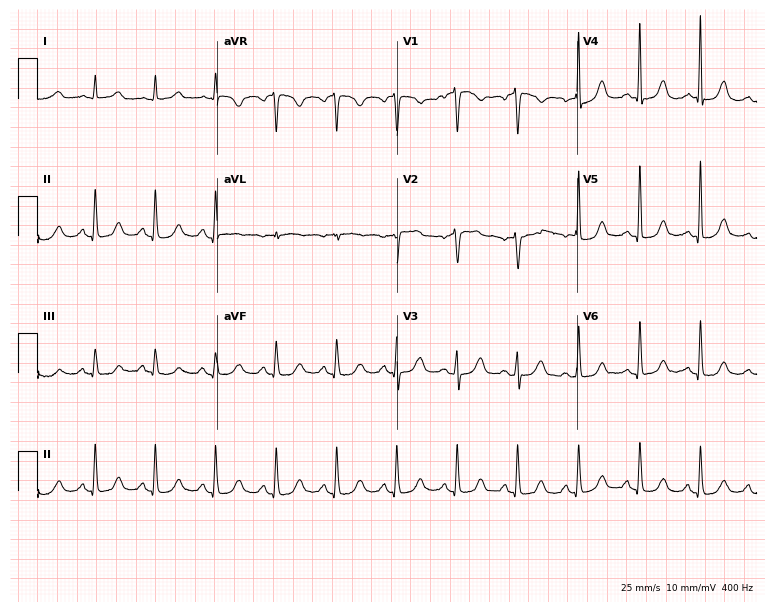
Standard 12-lead ECG recorded from a female, 56 years old. None of these six findings is recorded: first-degree AV block, right bundle branch block, left bundle branch block, sinus bradycardia, atrial fibrillation, sinus tachycardia. Other findings, if any, are not listed.